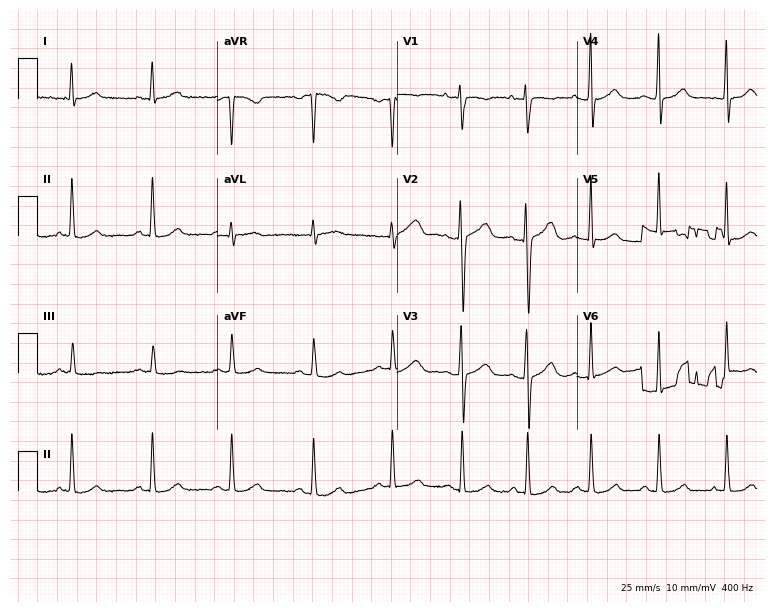
Standard 12-lead ECG recorded from a 30-year-old female (7.3-second recording at 400 Hz). None of these six findings is recorded: first-degree AV block, right bundle branch block, left bundle branch block, sinus bradycardia, atrial fibrillation, sinus tachycardia. Other findings, if any, are not listed.